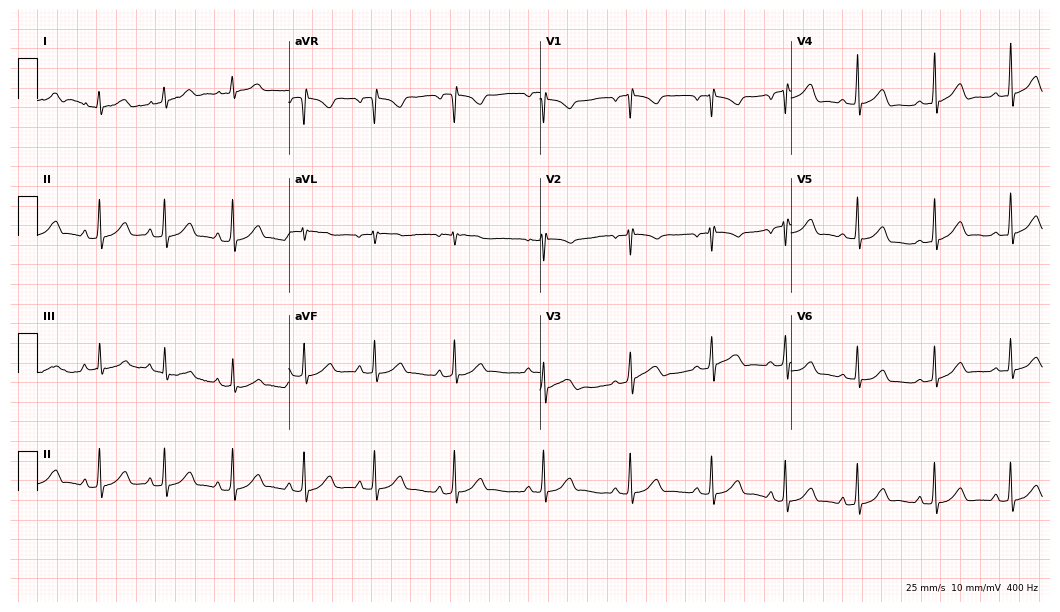
Resting 12-lead electrocardiogram. Patient: a 17-year-old woman. Read as a normal ECG.